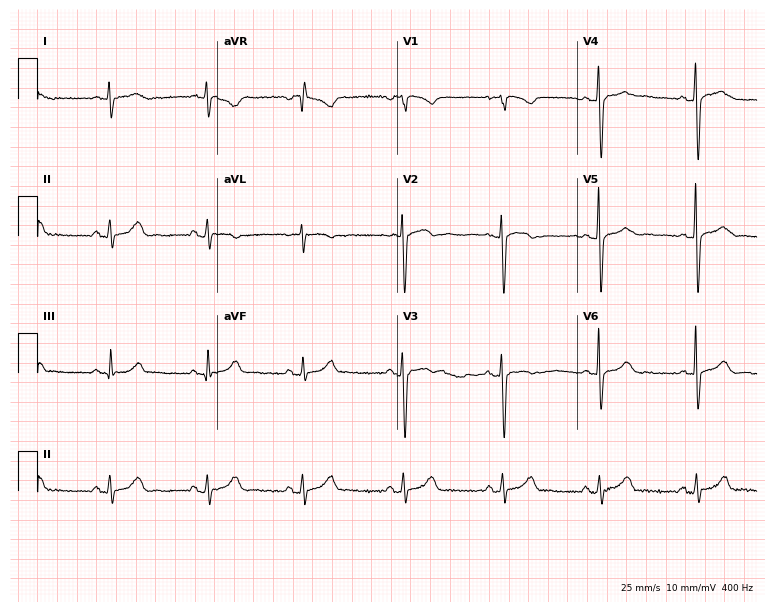
Standard 12-lead ECG recorded from a female patient, 63 years old. Read as a normal ECG.